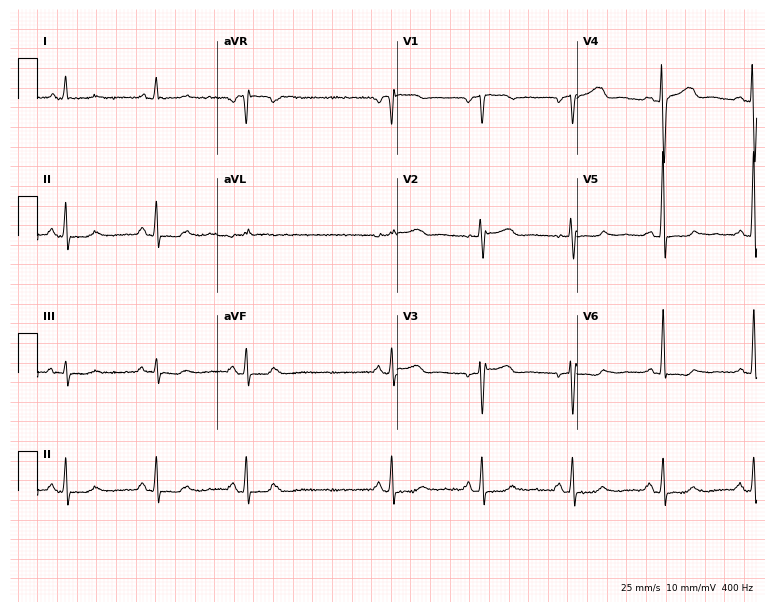
Resting 12-lead electrocardiogram (7.3-second recording at 400 Hz). Patient: a woman, 56 years old. None of these six findings is recorded: first-degree AV block, right bundle branch block, left bundle branch block, sinus bradycardia, atrial fibrillation, sinus tachycardia. Other findings, if any, are not listed.